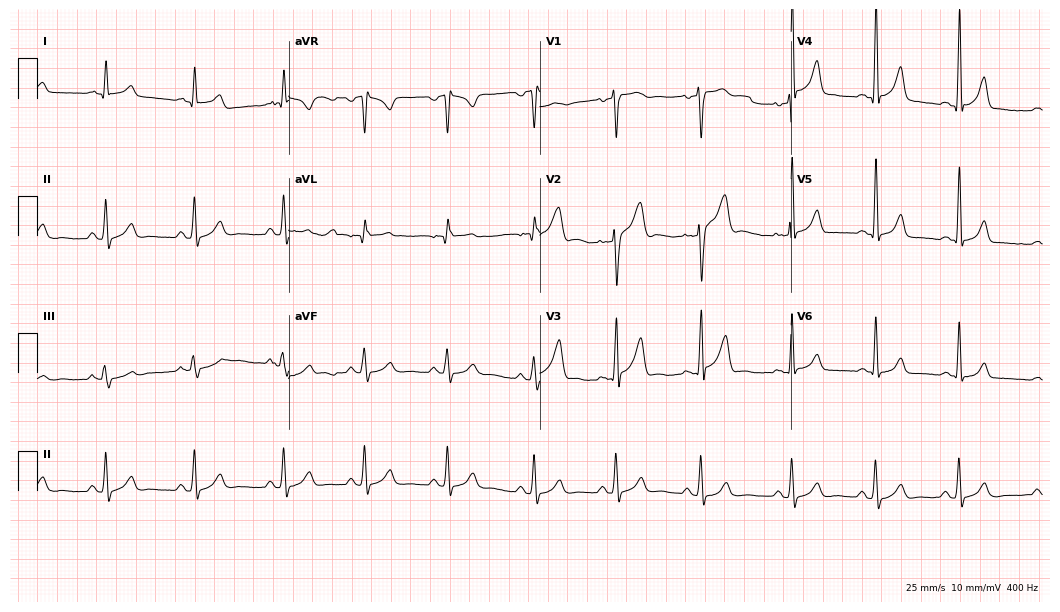
ECG (10.2-second recording at 400 Hz) — a 30-year-old male. Labelled as a normal ECG.